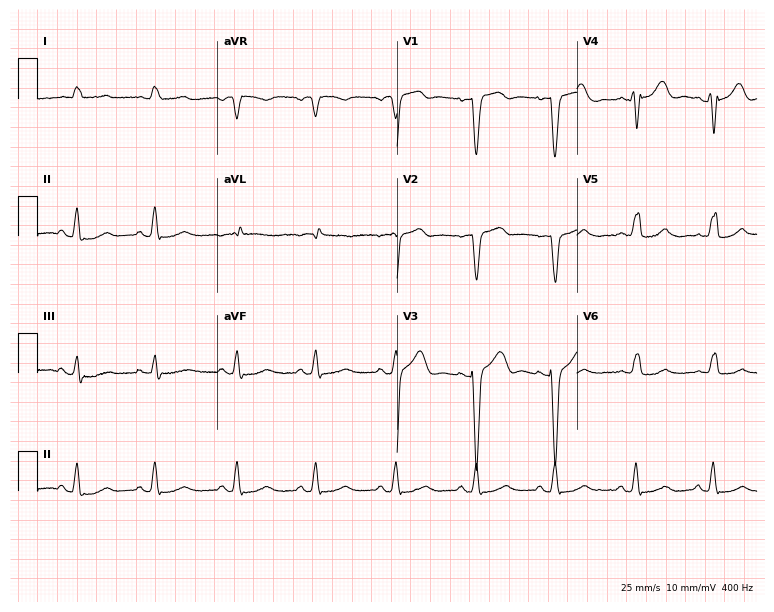
12-lead ECG from an 84-year-old female. Findings include left bundle branch block.